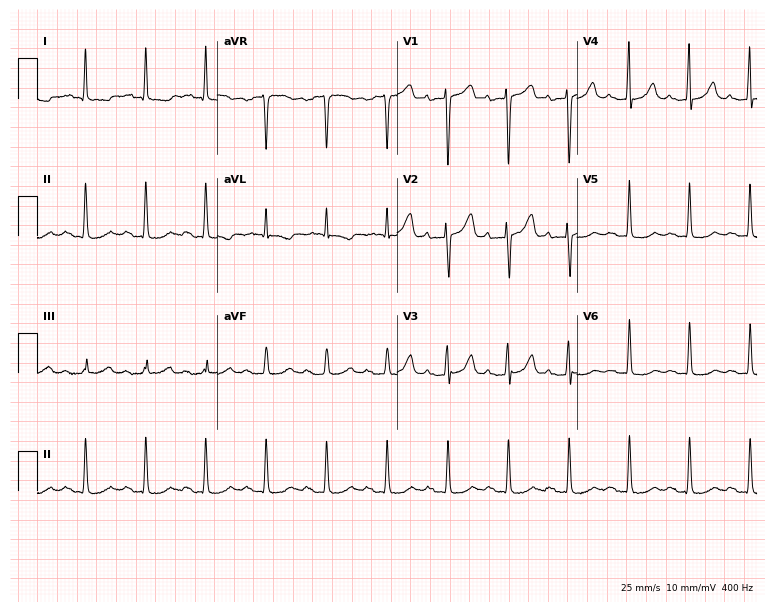
Resting 12-lead electrocardiogram (7.3-second recording at 400 Hz). Patient: an 80-year-old female. None of these six findings is recorded: first-degree AV block, right bundle branch block (RBBB), left bundle branch block (LBBB), sinus bradycardia, atrial fibrillation (AF), sinus tachycardia. Findings outside these six are not listed.